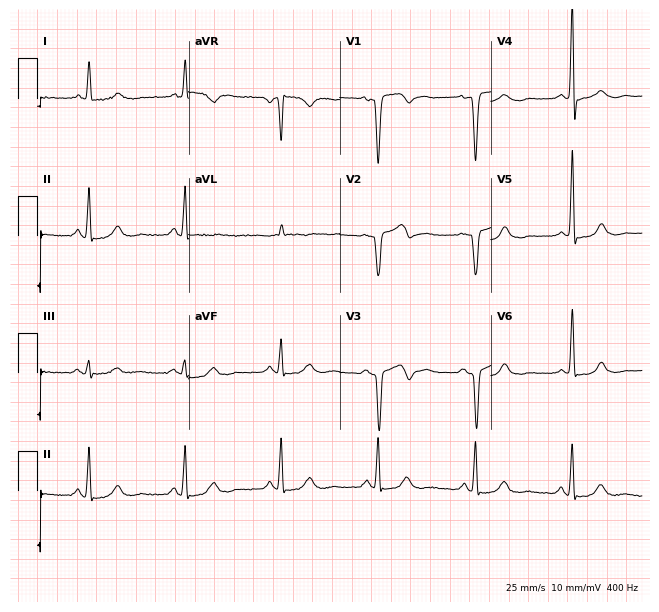
12-lead ECG (6.2-second recording at 400 Hz) from a 65-year-old male patient. Labelled as a normal ECG.